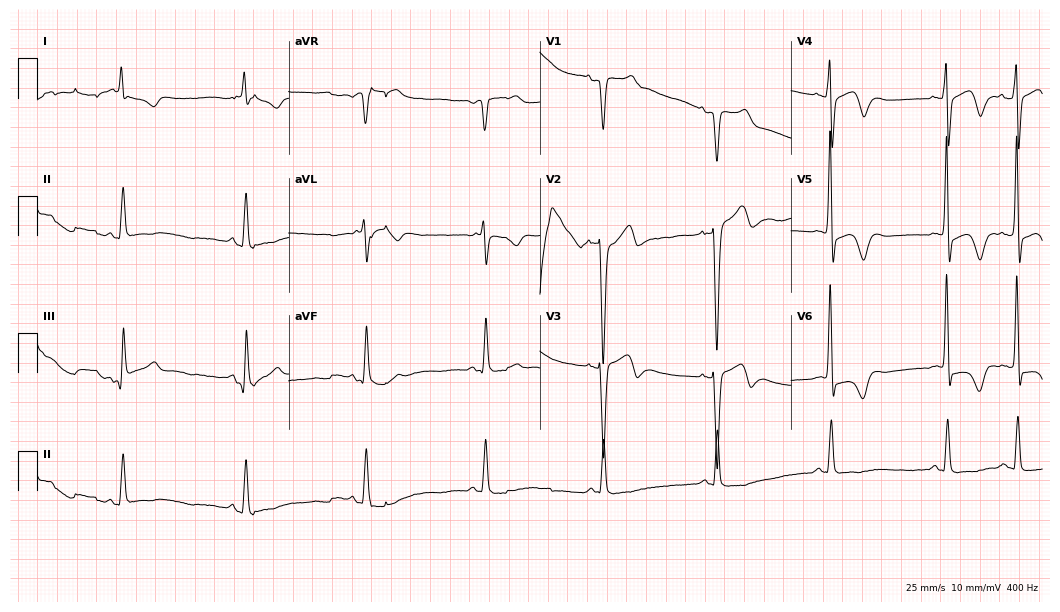
Standard 12-lead ECG recorded from a man, 69 years old. None of these six findings is recorded: first-degree AV block, right bundle branch block, left bundle branch block, sinus bradycardia, atrial fibrillation, sinus tachycardia. Findings outside these six are not listed.